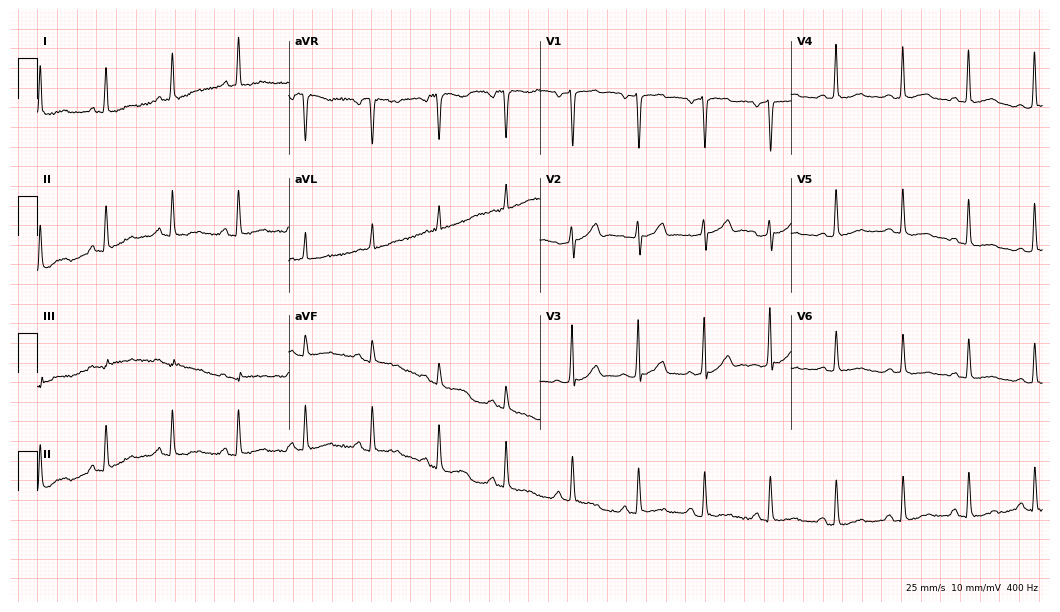
12-lead ECG (10.2-second recording at 400 Hz) from a 66-year-old female patient. Screened for six findings — first-degree AV block, right bundle branch block (RBBB), left bundle branch block (LBBB), sinus bradycardia, atrial fibrillation (AF), sinus tachycardia — none is recorded. Other findings, if any, are not listed.